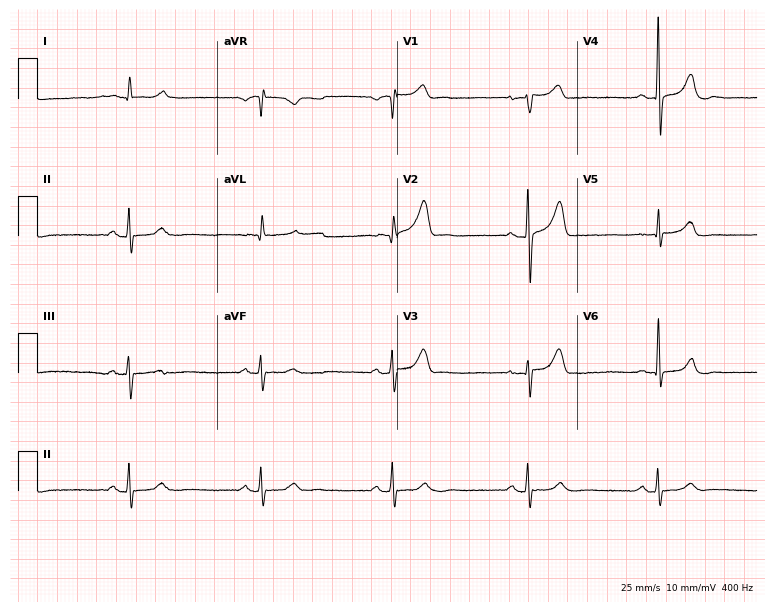
12-lead ECG from a man, 77 years old (7.3-second recording at 400 Hz). No first-degree AV block, right bundle branch block (RBBB), left bundle branch block (LBBB), sinus bradycardia, atrial fibrillation (AF) or sinus tachycardia recorded for this tracing.